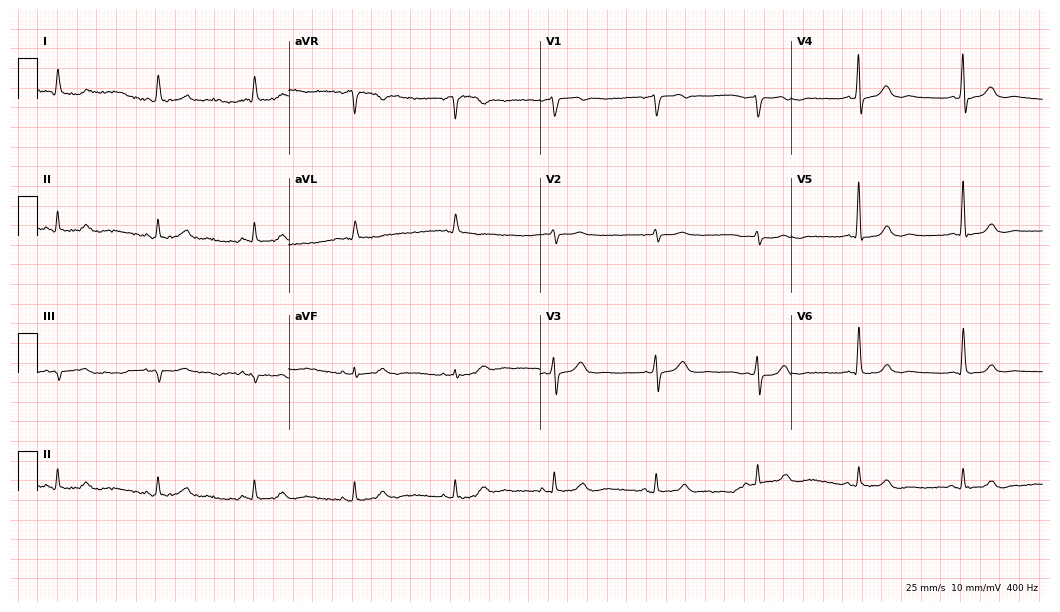
12-lead ECG from a male patient, 71 years old (10.2-second recording at 400 Hz). No first-degree AV block, right bundle branch block, left bundle branch block, sinus bradycardia, atrial fibrillation or sinus tachycardia recorded for this tracing. Findings outside these six are not listed.